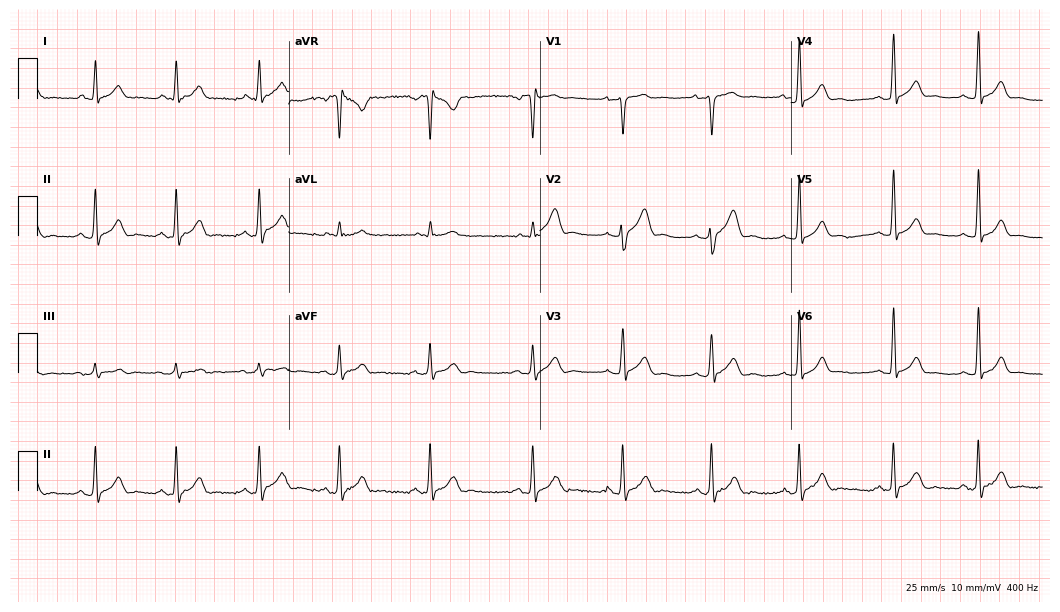
Resting 12-lead electrocardiogram (10.2-second recording at 400 Hz). Patient: a 23-year-old male. Read as a normal ECG.